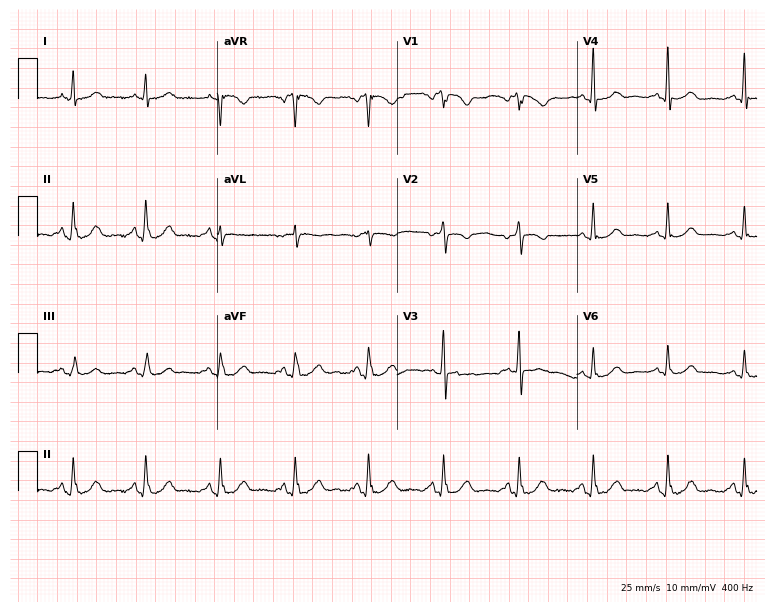
Resting 12-lead electrocardiogram. Patient: a 51-year-old female. None of these six findings is recorded: first-degree AV block, right bundle branch block, left bundle branch block, sinus bradycardia, atrial fibrillation, sinus tachycardia.